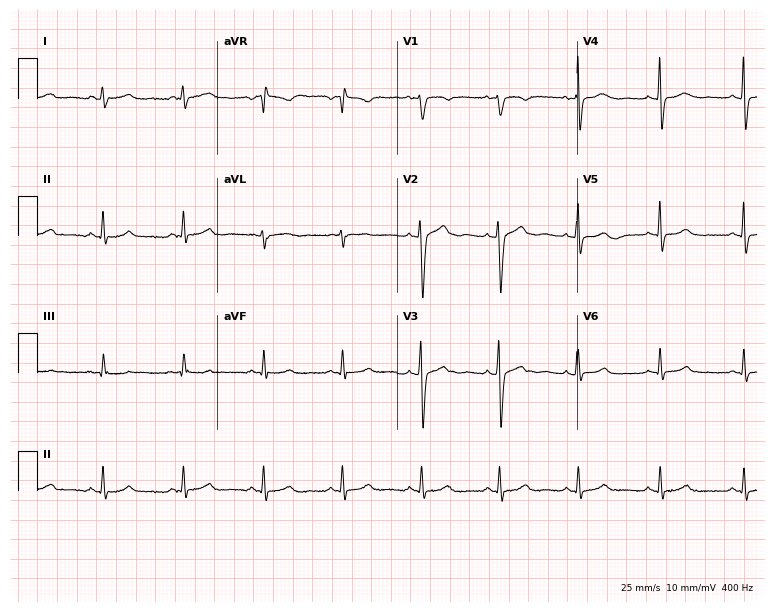
Resting 12-lead electrocardiogram. Patient: a woman, 30 years old. Read as a normal ECG.